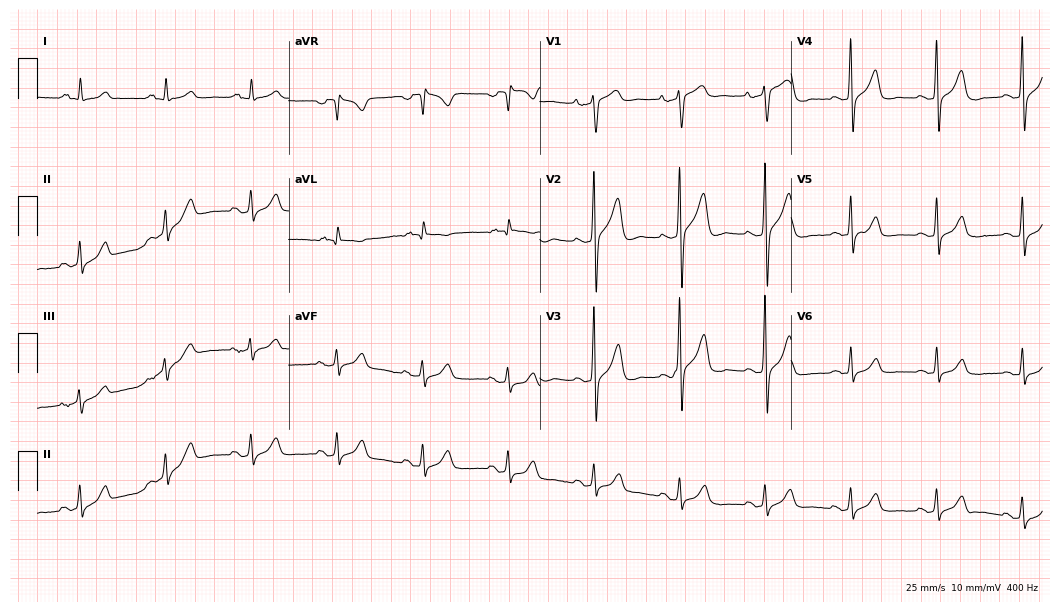
ECG — a 47-year-old male. Labelled as a normal ECG.